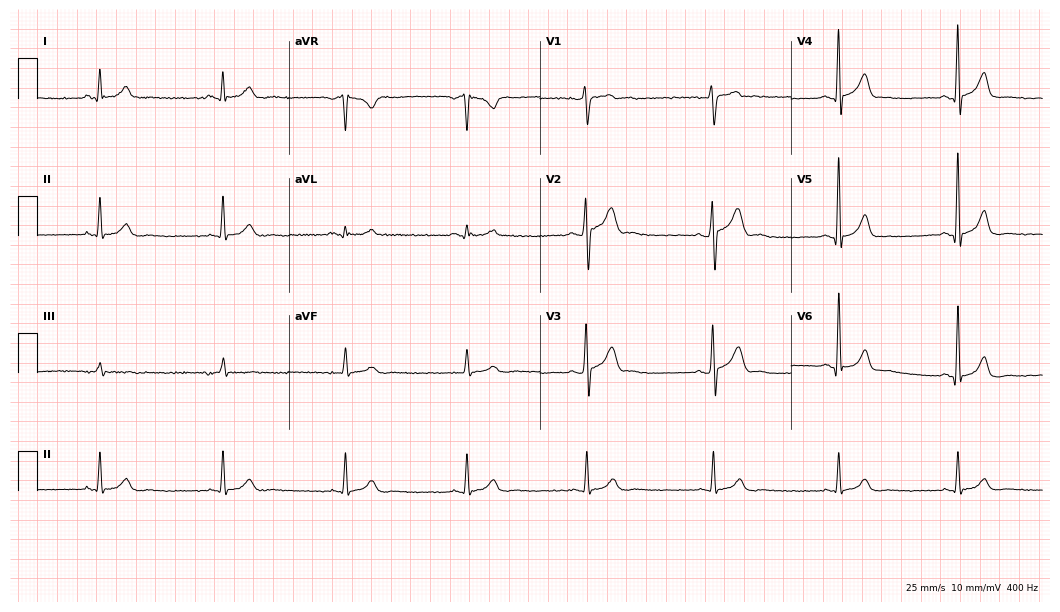
Electrocardiogram, a 40-year-old male. Interpretation includes sinus bradycardia (a sinus rate of 50 beats per minute or less).